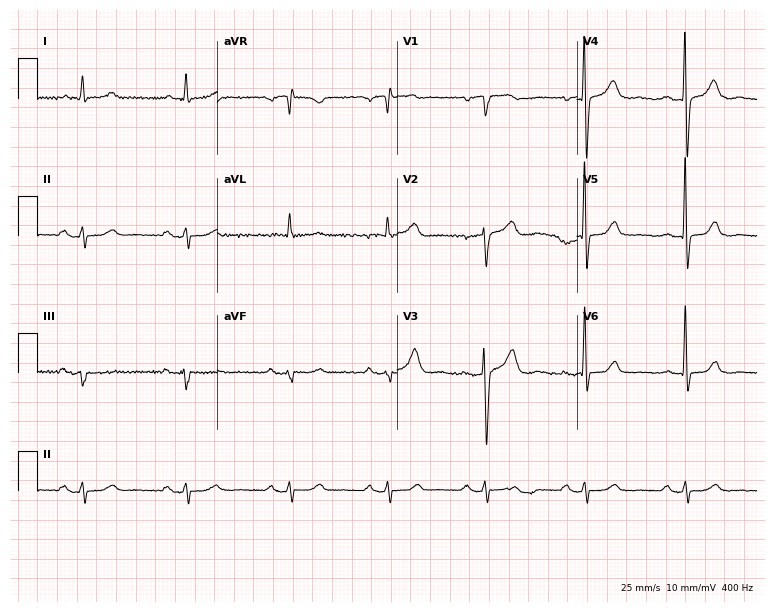
ECG — a man, 74 years old. Labelled as a normal ECG.